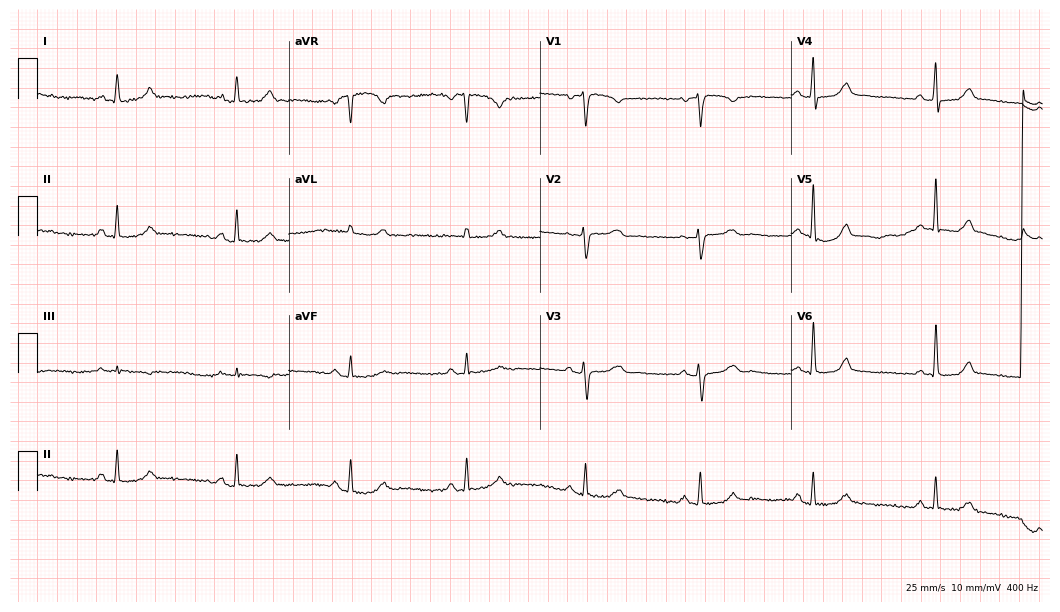
12-lead ECG from a 50-year-old female (10.2-second recording at 400 Hz). Recorded interpretation: within normal limits.